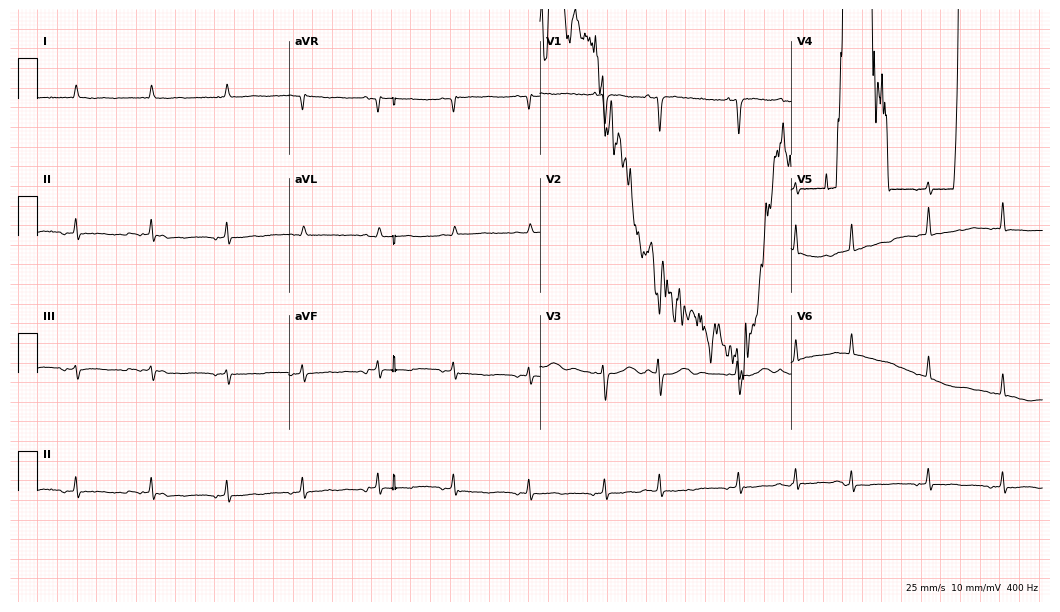
12-lead ECG (10.2-second recording at 400 Hz) from a man, 85 years old. Screened for six findings — first-degree AV block, right bundle branch block (RBBB), left bundle branch block (LBBB), sinus bradycardia, atrial fibrillation (AF), sinus tachycardia — none is recorded. Other findings, if any, are not listed.